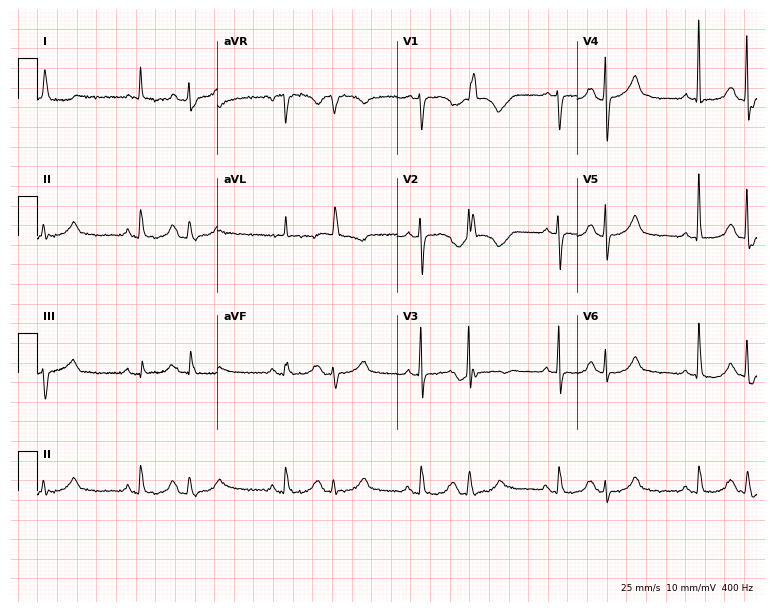
Electrocardiogram, a woman, 82 years old. Overall reading on record: normal ECG.